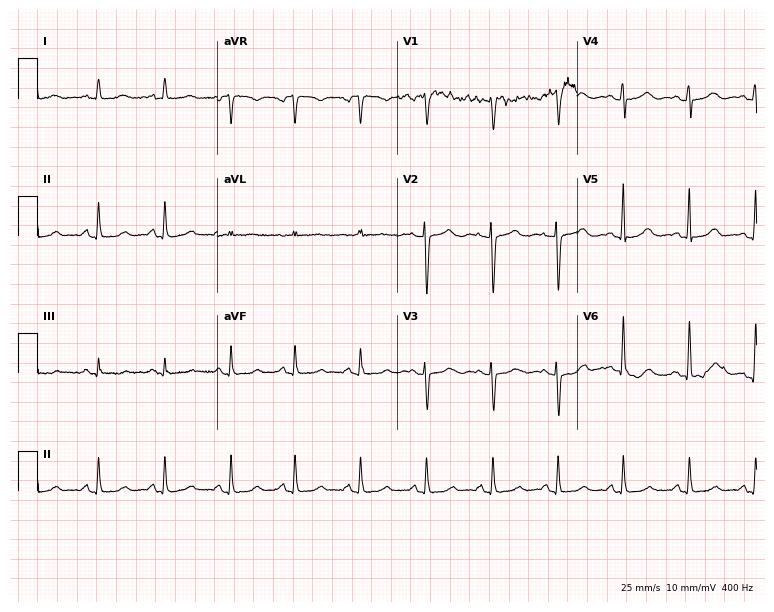
Standard 12-lead ECG recorded from a 31-year-old female patient (7.3-second recording at 400 Hz). None of these six findings is recorded: first-degree AV block, right bundle branch block, left bundle branch block, sinus bradycardia, atrial fibrillation, sinus tachycardia.